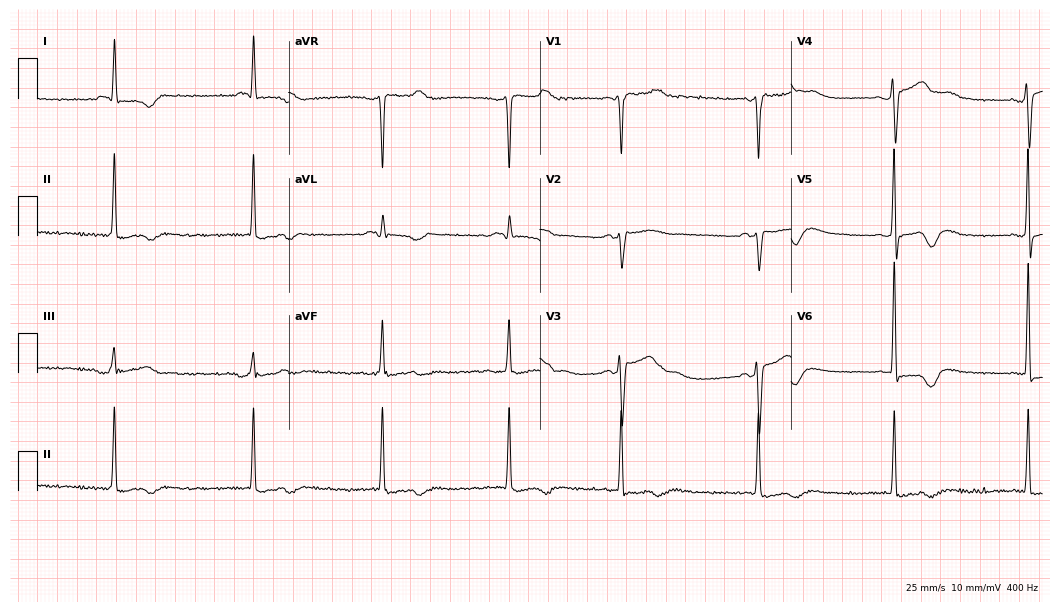
Electrocardiogram (10.2-second recording at 400 Hz), a female patient, 59 years old. Interpretation includes sinus bradycardia (a sinus rate of 50 beats per minute or less).